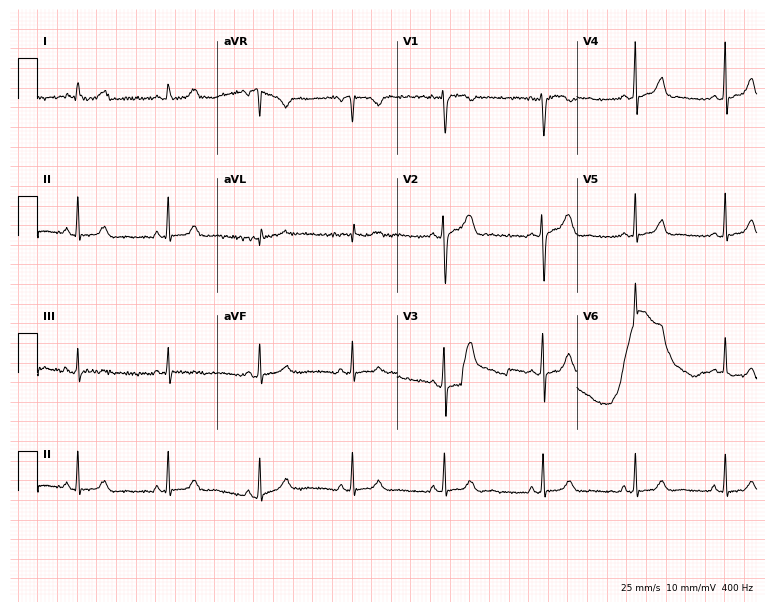
Electrocardiogram, a 24-year-old female patient. Overall reading on record: normal ECG.